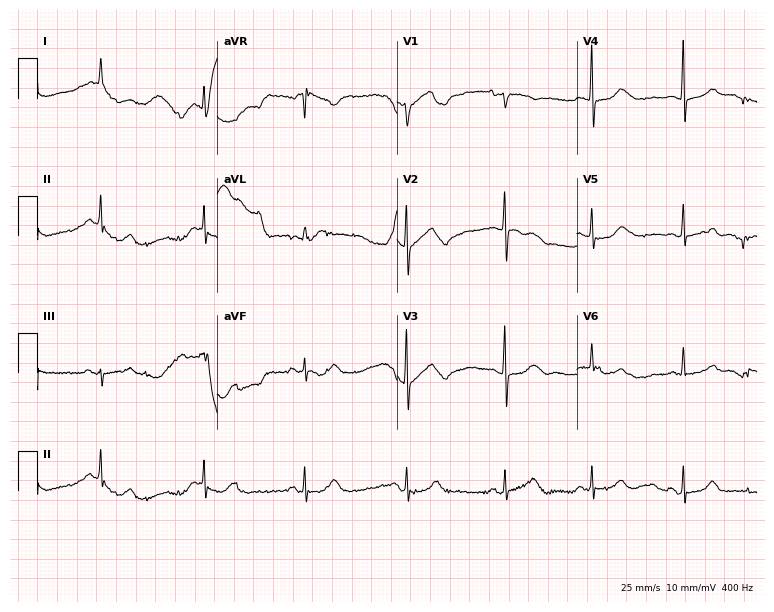
Standard 12-lead ECG recorded from a 74-year-old woman (7.3-second recording at 400 Hz). None of these six findings is recorded: first-degree AV block, right bundle branch block, left bundle branch block, sinus bradycardia, atrial fibrillation, sinus tachycardia. Only these six findings were labelled.